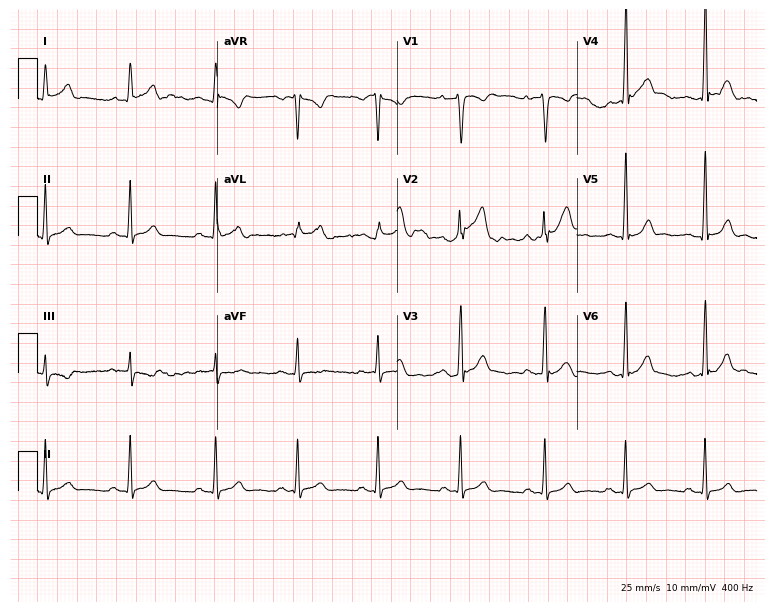
Standard 12-lead ECG recorded from a man, 38 years old. Read as a normal ECG.